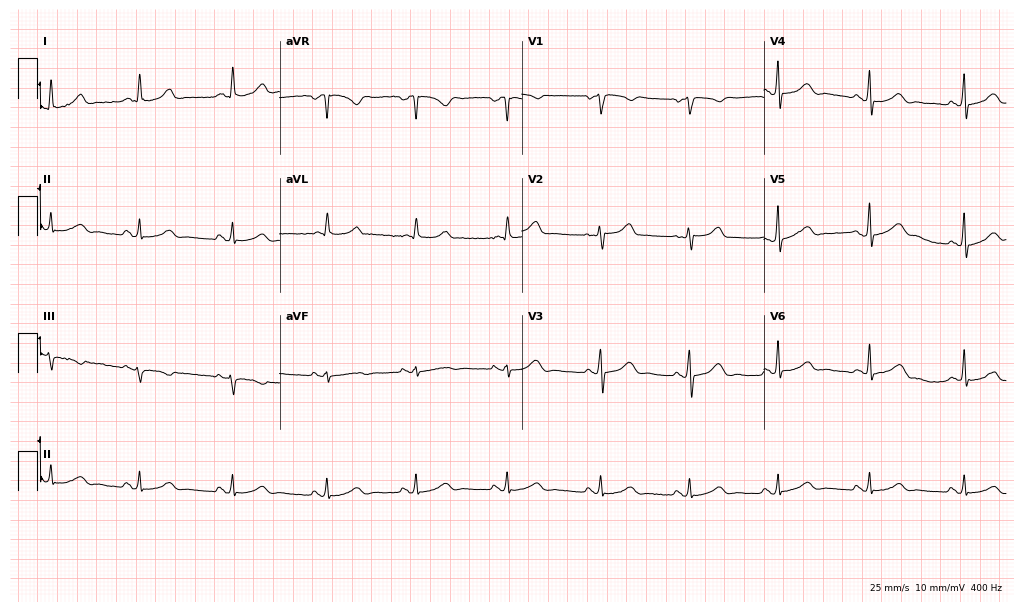
Electrocardiogram, a 49-year-old female. Overall reading on record: normal ECG.